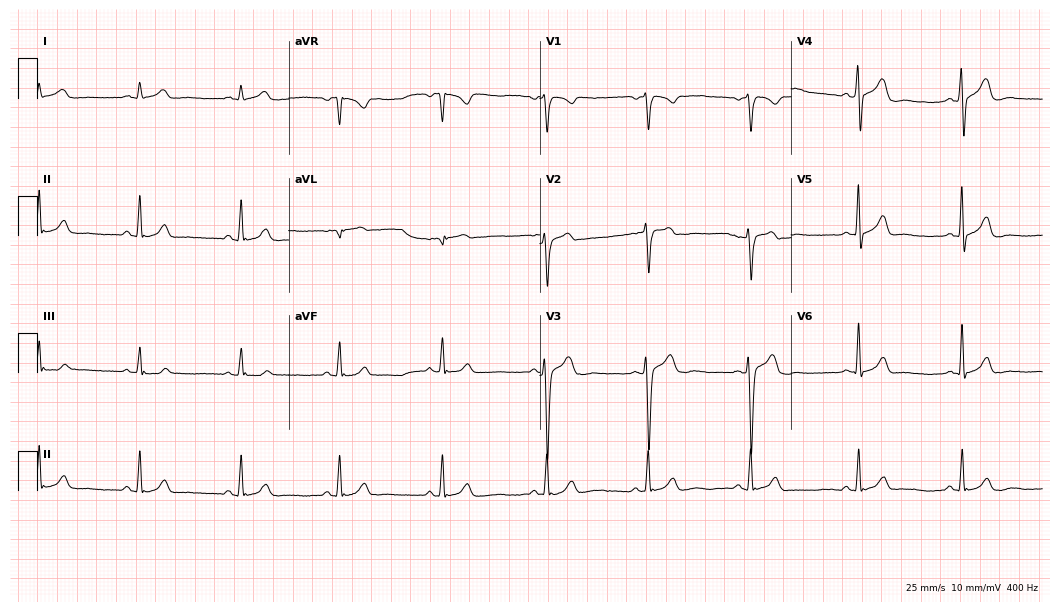
Standard 12-lead ECG recorded from a man, 29 years old. Read as a normal ECG.